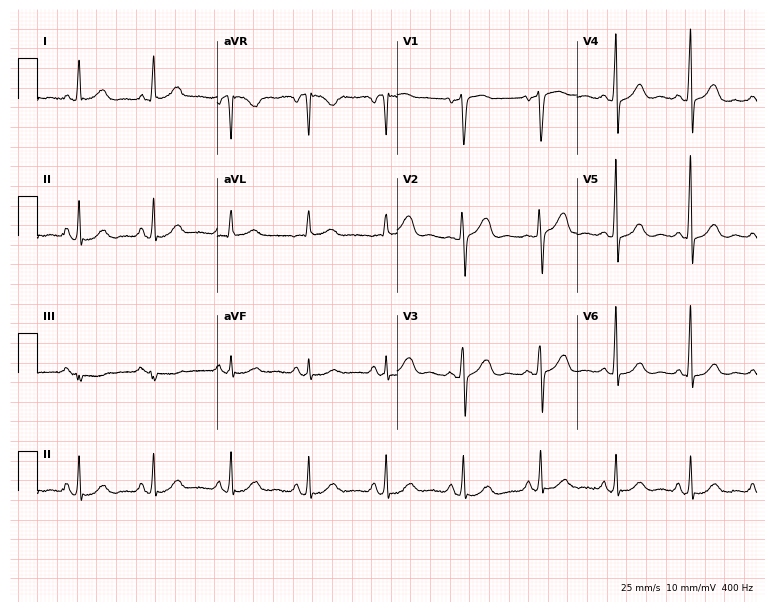
12-lead ECG from a 63-year-old woman. Recorded interpretation: within normal limits.